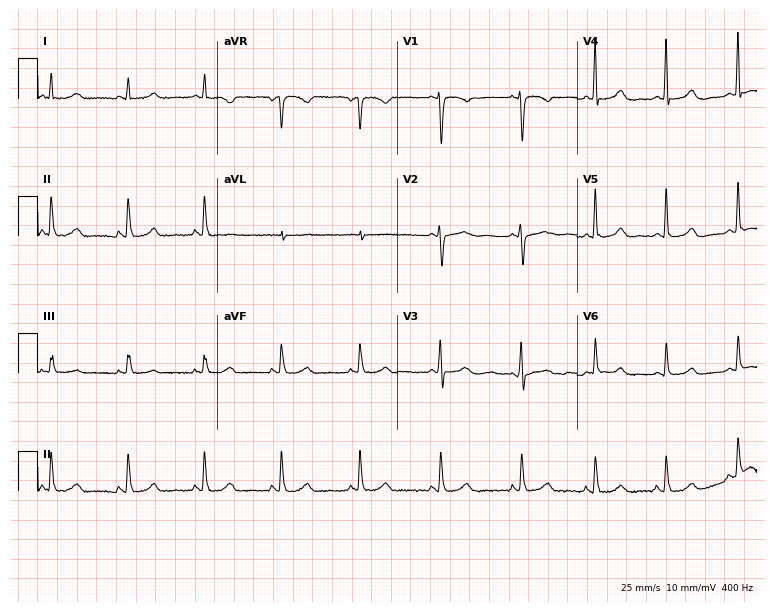
ECG (7.3-second recording at 400 Hz) — a 47-year-old woman. Screened for six findings — first-degree AV block, right bundle branch block, left bundle branch block, sinus bradycardia, atrial fibrillation, sinus tachycardia — none is recorded. Other findings, if any, are not listed.